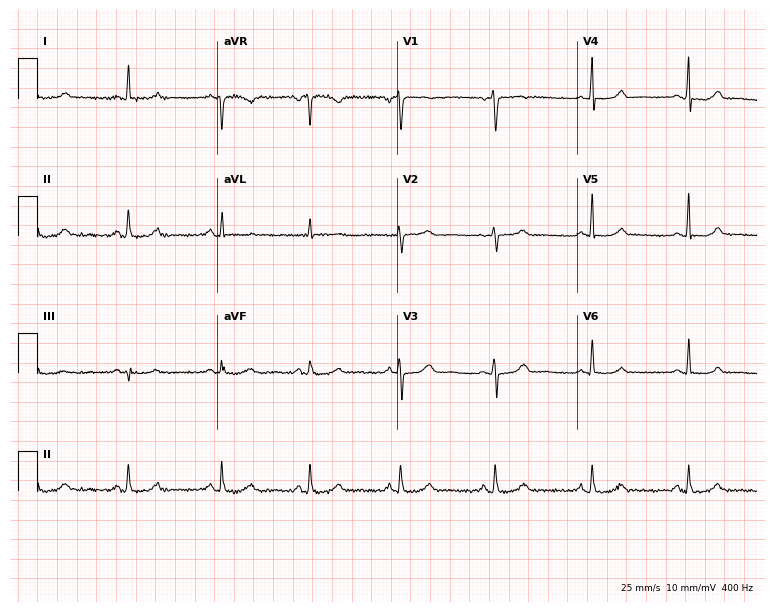
ECG (7.3-second recording at 400 Hz) — a 52-year-old female patient. Labelled as a normal ECG.